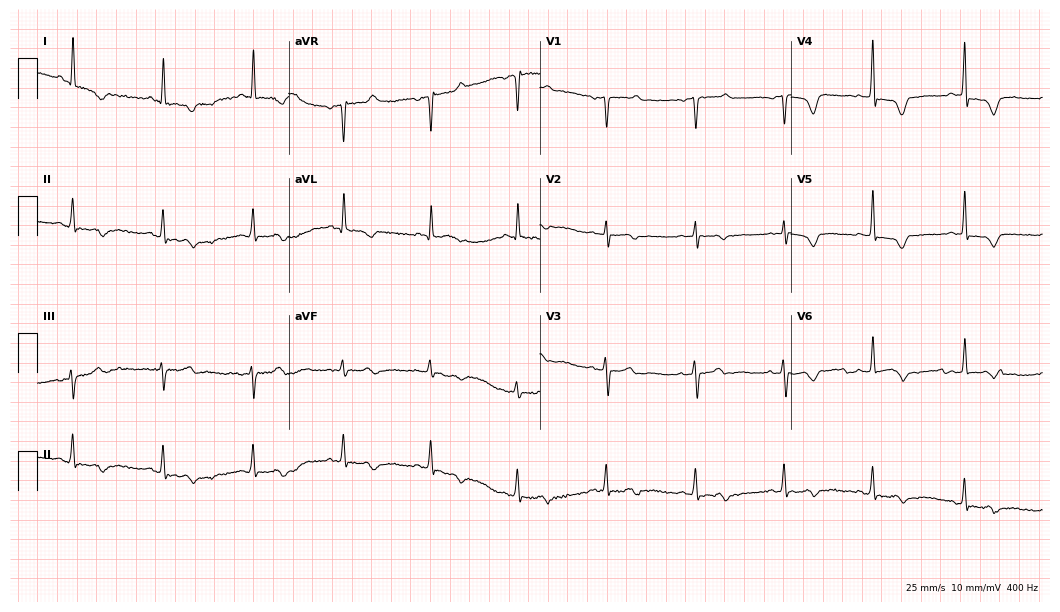
ECG (10.2-second recording at 400 Hz) — a female patient, 67 years old. Screened for six findings — first-degree AV block, right bundle branch block (RBBB), left bundle branch block (LBBB), sinus bradycardia, atrial fibrillation (AF), sinus tachycardia — none is recorded.